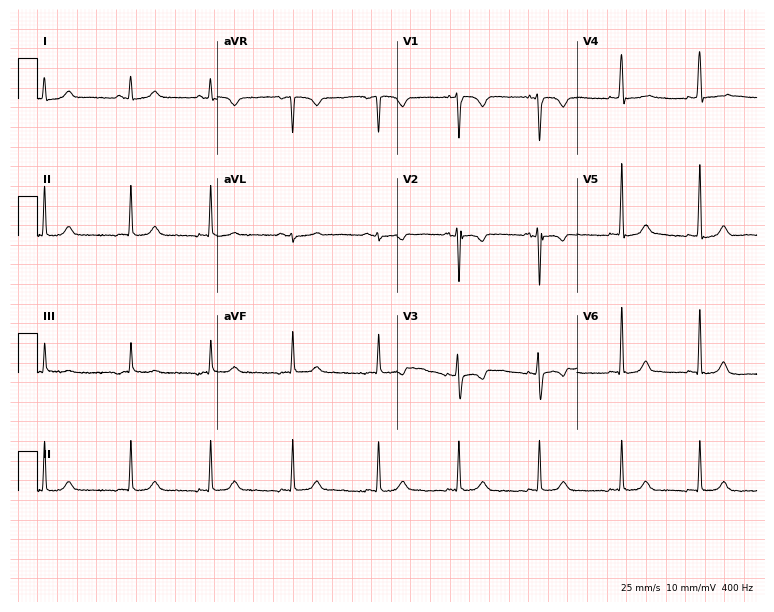
ECG (7.3-second recording at 400 Hz) — a 21-year-old female patient. Screened for six findings — first-degree AV block, right bundle branch block (RBBB), left bundle branch block (LBBB), sinus bradycardia, atrial fibrillation (AF), sinus tachycardia — none is recorded. Findings outside these six are not listed.